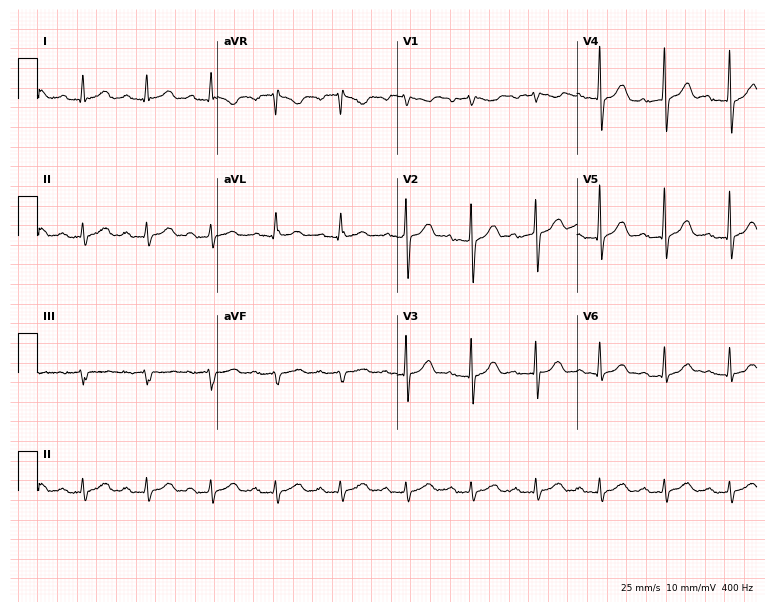
12-lead ECG (7.3-second recording at 400 Hz) from a 52-year-old male. Screened for six findings — first-degree AV block, right bundle branch block, left bundle branch block, sinus bradycardia, atrial fibrillation, sinus tachycardia — none is recorded.